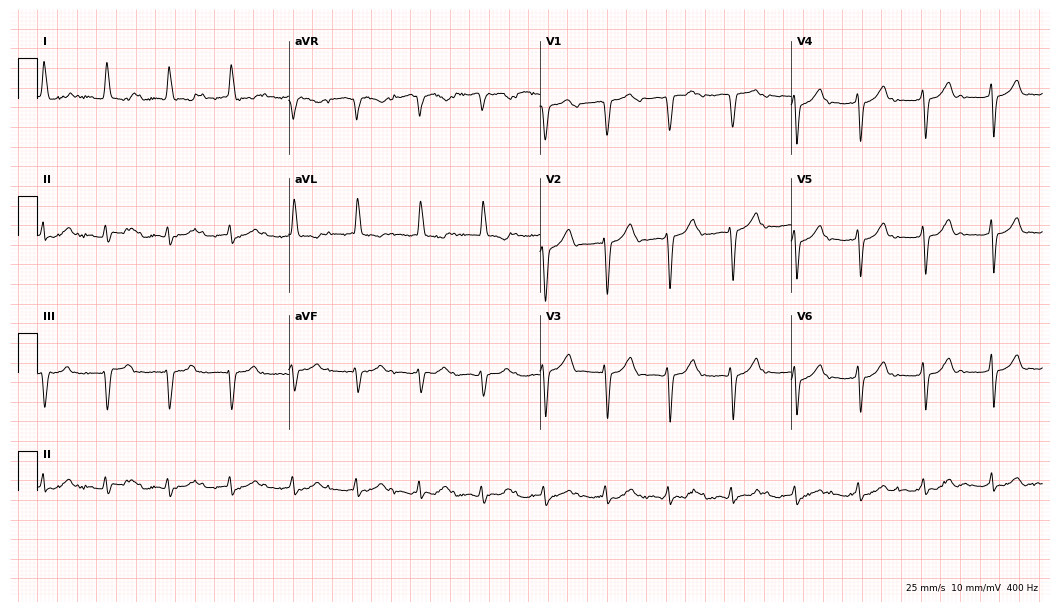
Standard 12-lead ECG recorded from a 77-year-old female. None of these six findings is recorded: first-degree AV block, right bundle branch block (RBBB), left bundle branch block (LBBB), sinus bradycardia, atrial fibrillation (AF), sinus tachycardia. Findings outside these six are not listed.